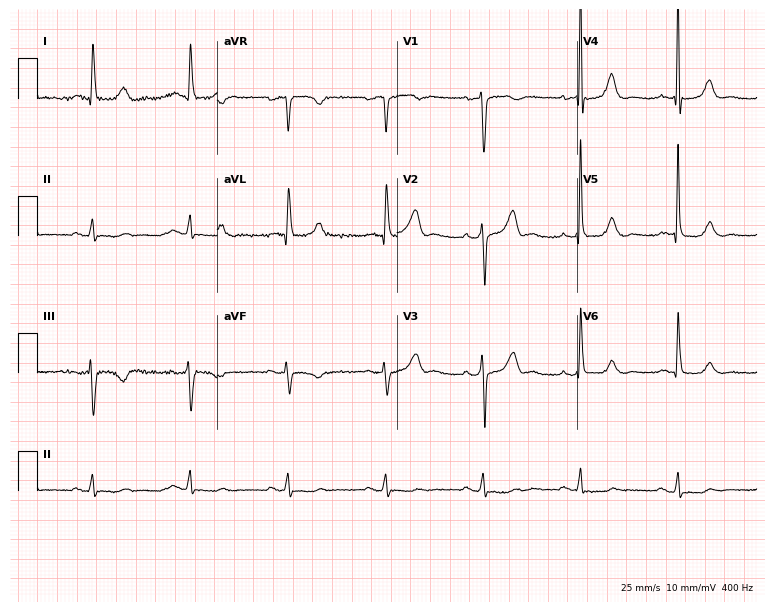
Standard 12-lead ECG recorded from a 73-year-old man (7.3-second recording at 400 Hz). None of these six findings is recorded: first-degree AV block, right bundle branch block, left bundle branch block, sinus bradycardia, atrial fibrillation, sinus tachycardia.